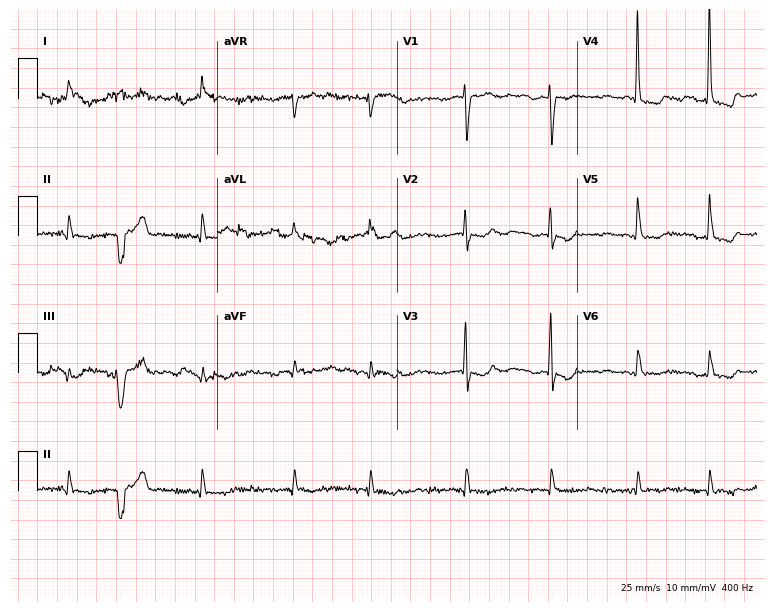
Electrocardiogram, a woman, 80 years old. Of the six screened findings (first-degree AV block, right bundle branch block, left bundle branch block, sinus bradycardia, atrial fibrillation, sinus tachycardia), none is recorded.